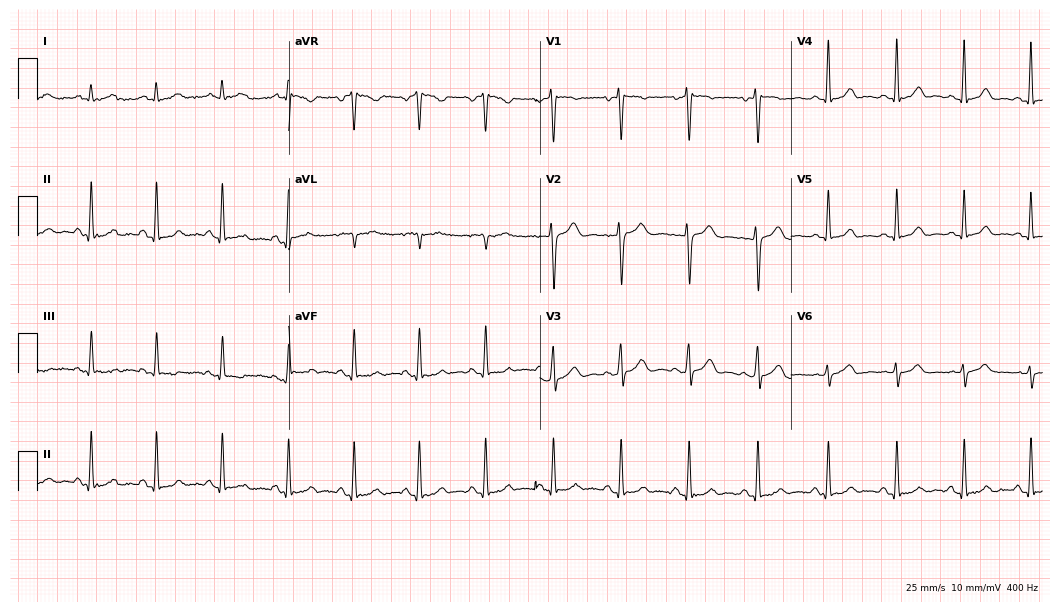
Standard 12-lead ECG recorded from a 42-year-old woman. Read as a normal ECG.